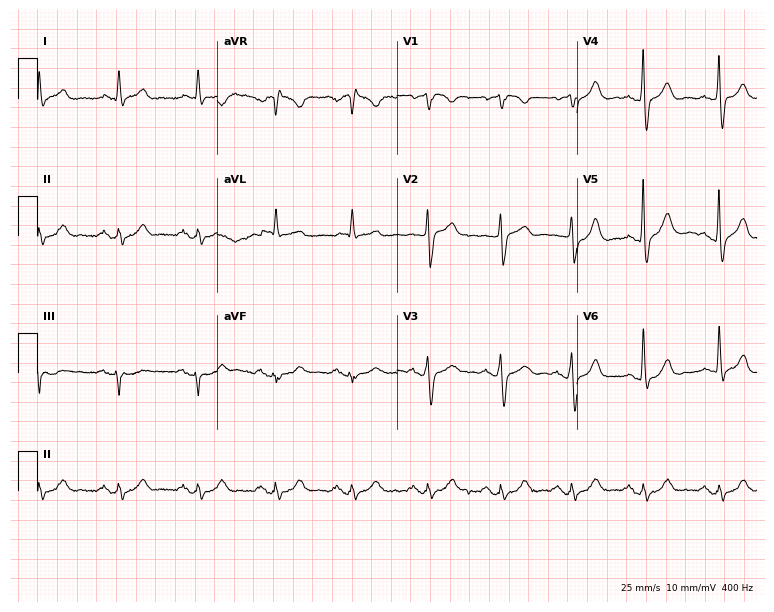
ECG (7.3-second recording at 400 Hz) — an 84-year-old man. Labelled as a normal ECG.